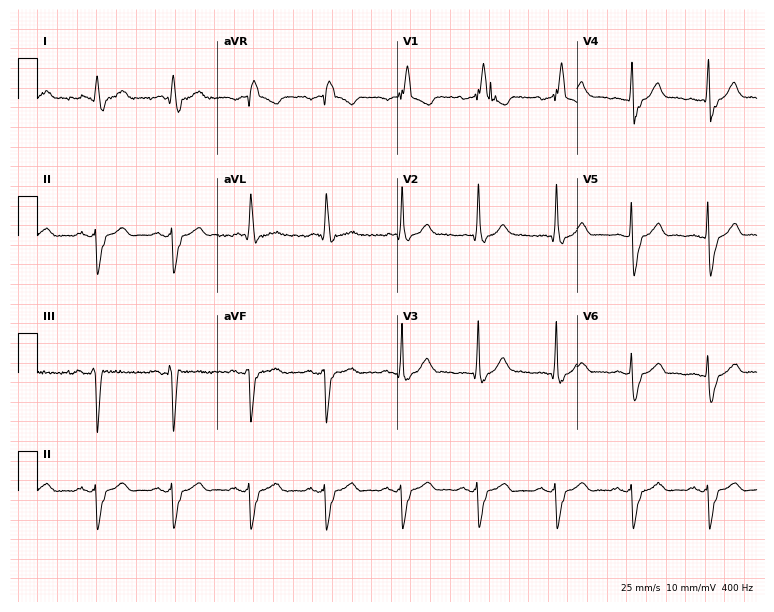
Resting 12-lead electrocardiogram (7.3-second recording at 400 Hz). Patient: a 76-year-old male. The tracing shows right bundle branch block.